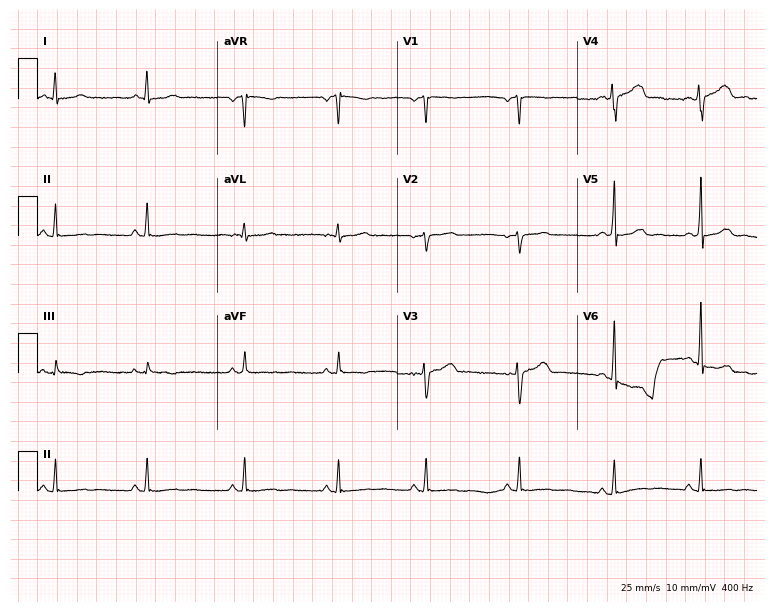
Resting 12-lead electrocardiogram (7.3-second recording at 400 Hz). Patient: a 29-year-old female. None of these six findings is recorded: first-degree AV block, right bundle branch block, left bundle branch block, sinus bradycardia, atrial fibrillation, sinus tachycardia. Only these six findings were labelled.